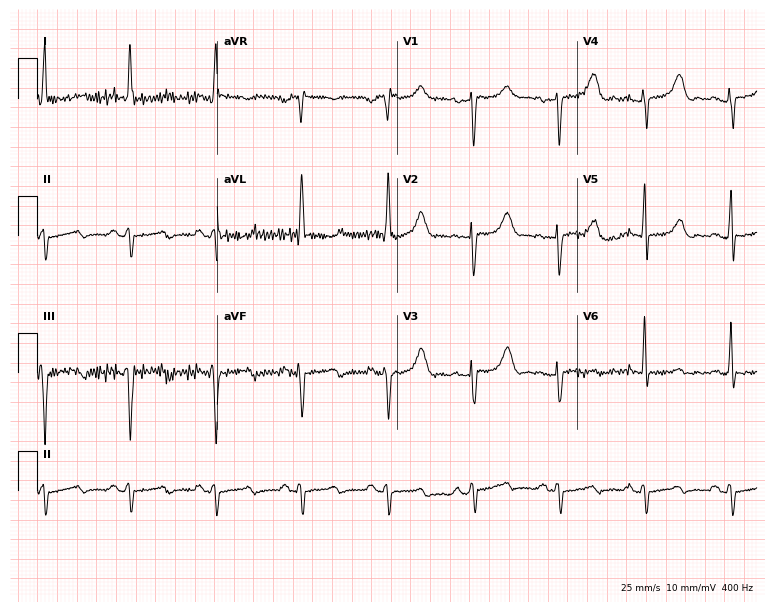
12-lead ECG from a 61-year-old woman. No first-degree AV block, right bundle branch block (RBBB), left bundle branch block (LBBB), sinus bradycardia, atrial fibrillation (AF) or sinus tachycardia recorded for this tracing.